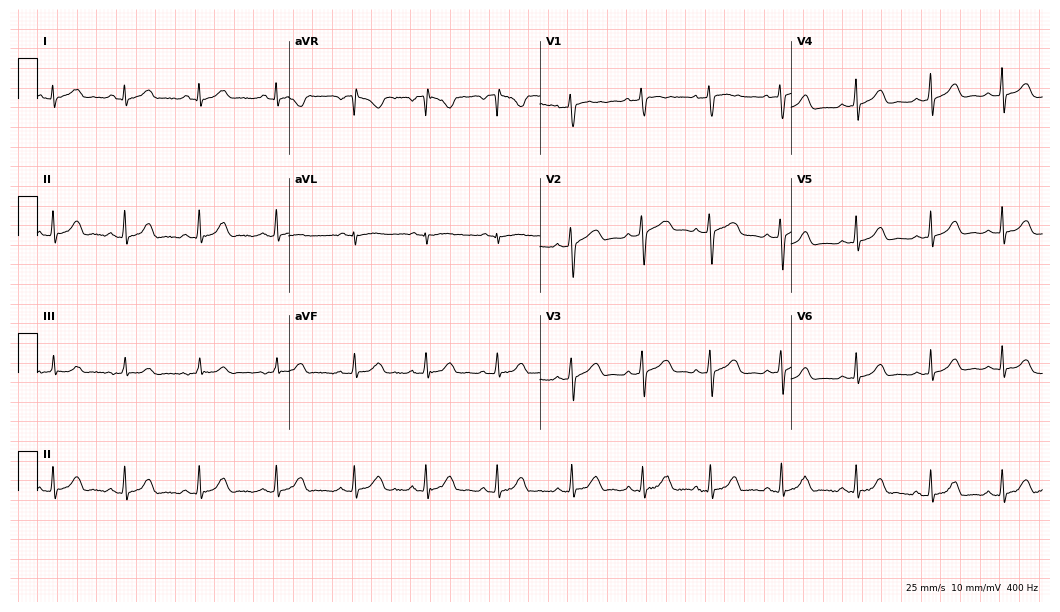
Resting 12-lead electrocardiogram (10.2-second recording at 400 Hz). Patient: a female, 25 years old. Read as a normal ECG.